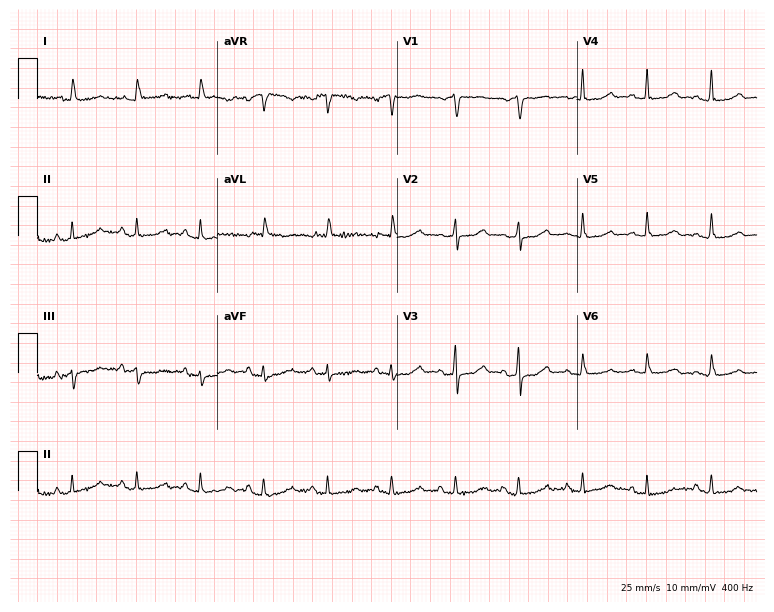
12-lead ECG from a female patient, 72 years old. No first-degree AV block, right bundle branch block, left bundle branch block, sinus bradycardia, atrial fibrillation or sinus tachycardia recorded for this tracing. Other findings, if any, are not listed.